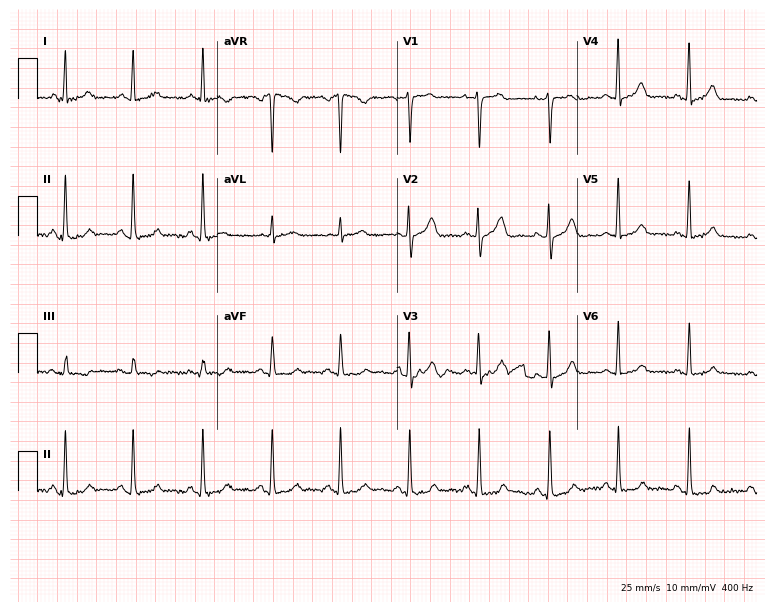
ECG (7.3-second recording at 400 Hz) — a woman, 65 years old. Labelled as a normal ECG.